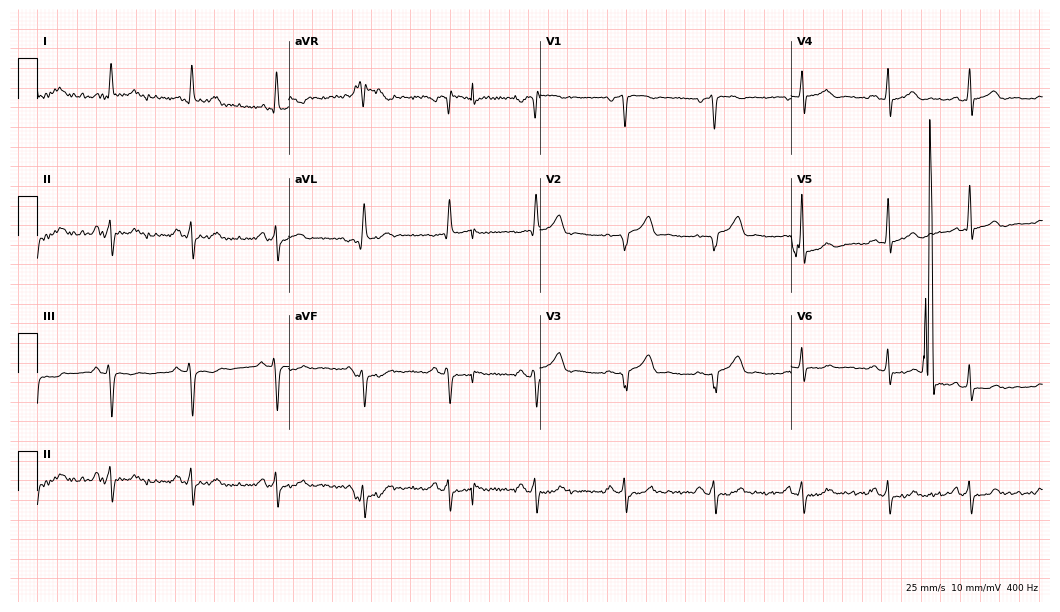
12-lead ECG from a 46-year-old male patient. Screened for six findings — first-degree AV block, right bundle branch block (RBBB), left bundle branch block (LBBB), sinus bradycardia, atrial fibrillation (AF), sinus tachycardia — none is recorded. Findings outside these six are not listed.